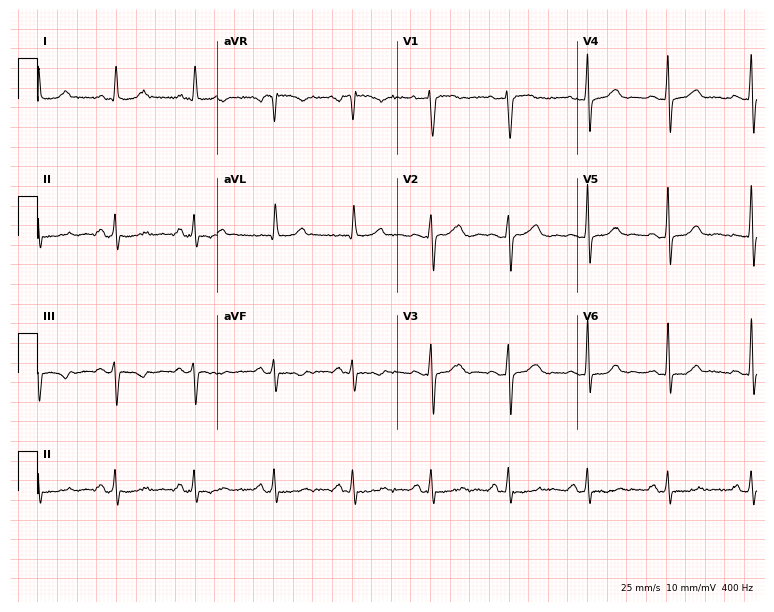
Electrocardiogram, a 62-year-old female. Of the six screened findings (first-degree AV block, right bundle branch block, left bundle branch block, sinus bradycardia, atrial fibrillation, sinus tachycardia), none is recorded.